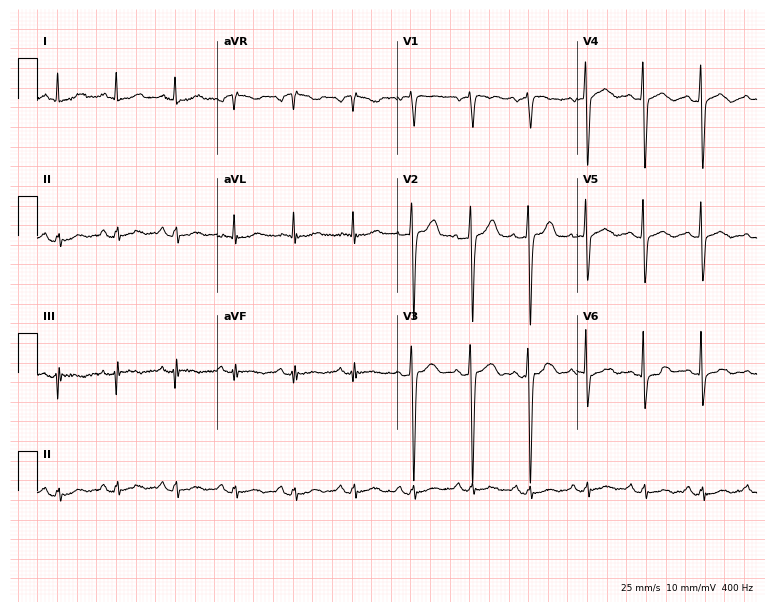
Standard 12-lead ECG recorded from a 48-year-old man. The tracing shows sinus tachycardia (a sinus rate of 100 beats per minute or more).